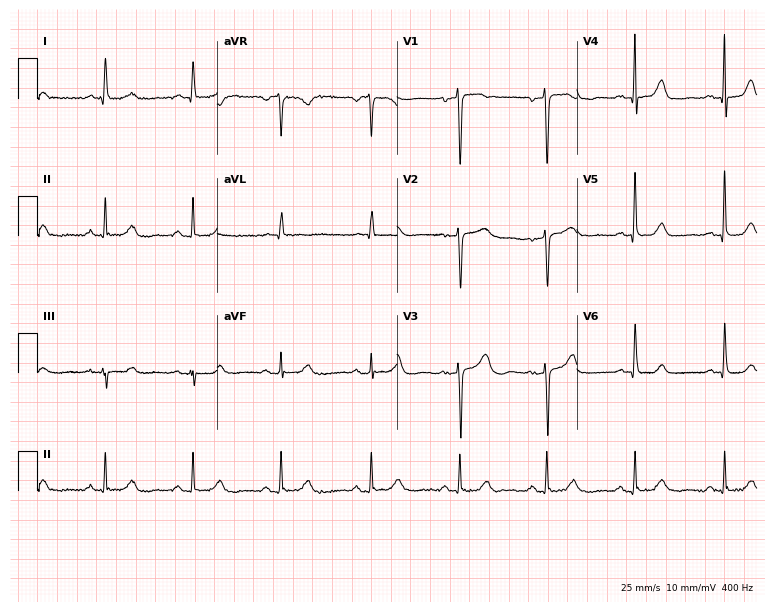
Standard 12-lead ECG recorded from a 57-year-old female. Read as a normal ECG.